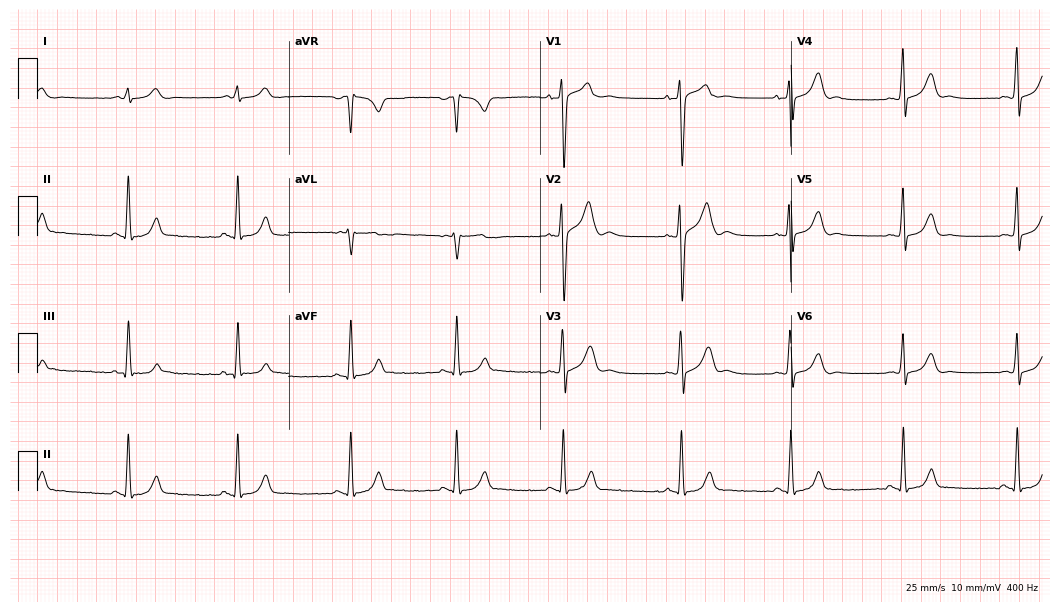
Resting 12-lead electrocardiogram (10.2-second recording at 400 Hz). Patient: a 19-year-old male. Read as a normal ECG.